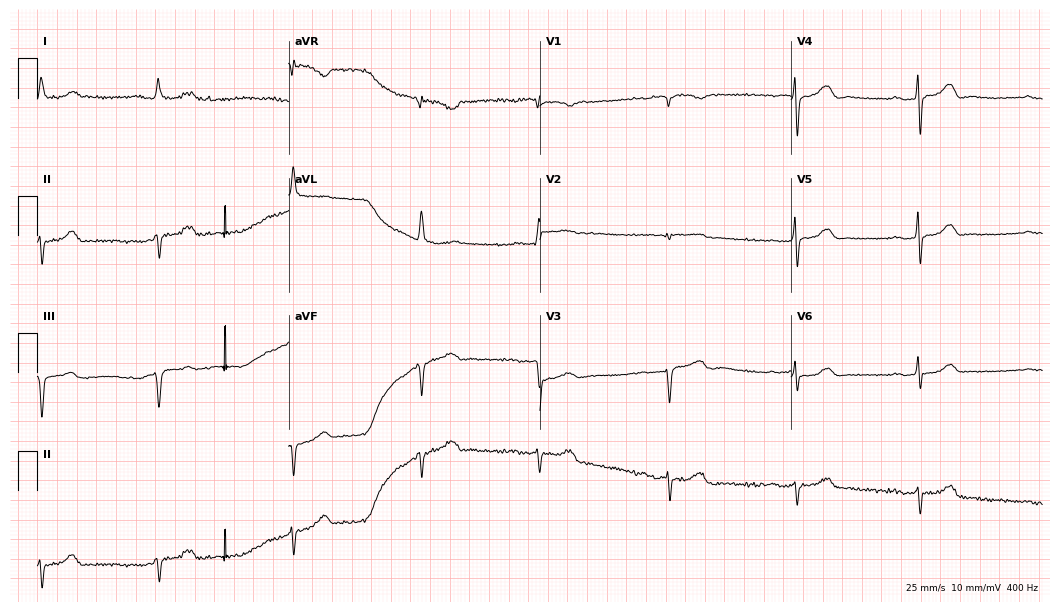
12-lead ECG from a woman, 85 years old (10.2-second recording at 400 Hz). No first-degree AV block, right bundle branch block, left bundle branch block, sinus bradycardia, atrial fibrillation or sinus tachycardia recorded for this tracing. Findings outside these six are not listed.